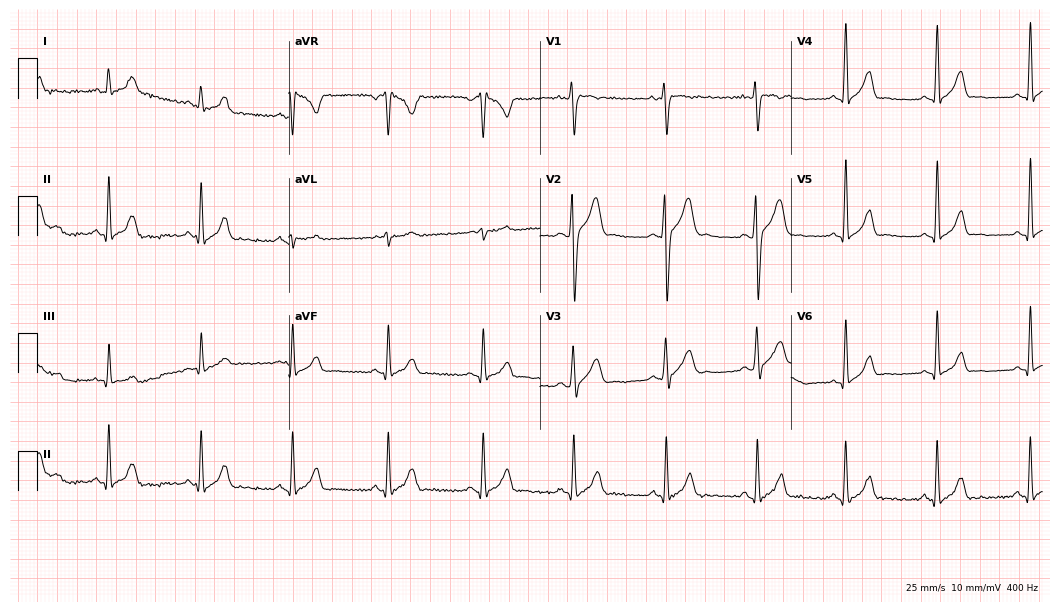
Standard 12-lead ECG recorded from a 27-year-old male patient. None of these six findings is recorded: first-degree AV block, right bundle branch block, left bundle branch block, sinus bradycardia, atrial fibrillation, sinus tachycardia.